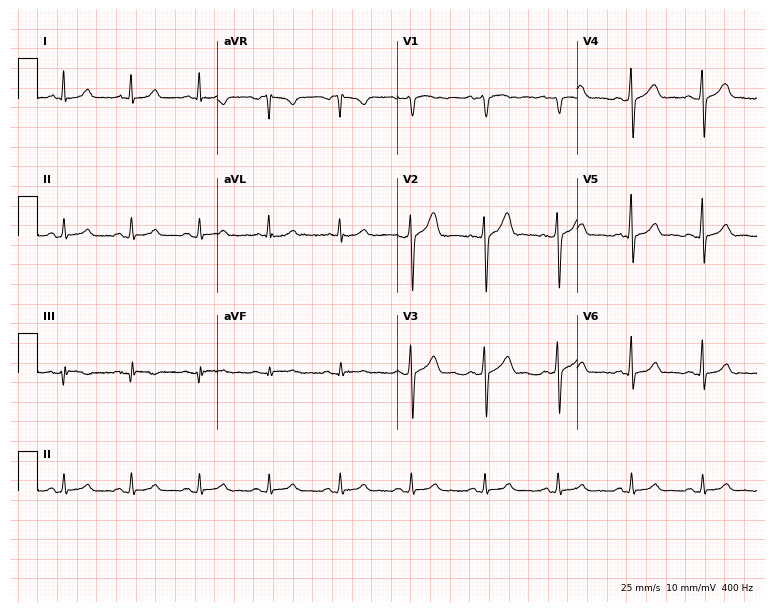
12-lead ECG from a male, 41 years old (7.3-second recording at 400 Hz). Recorded interpretation: within normal limits.